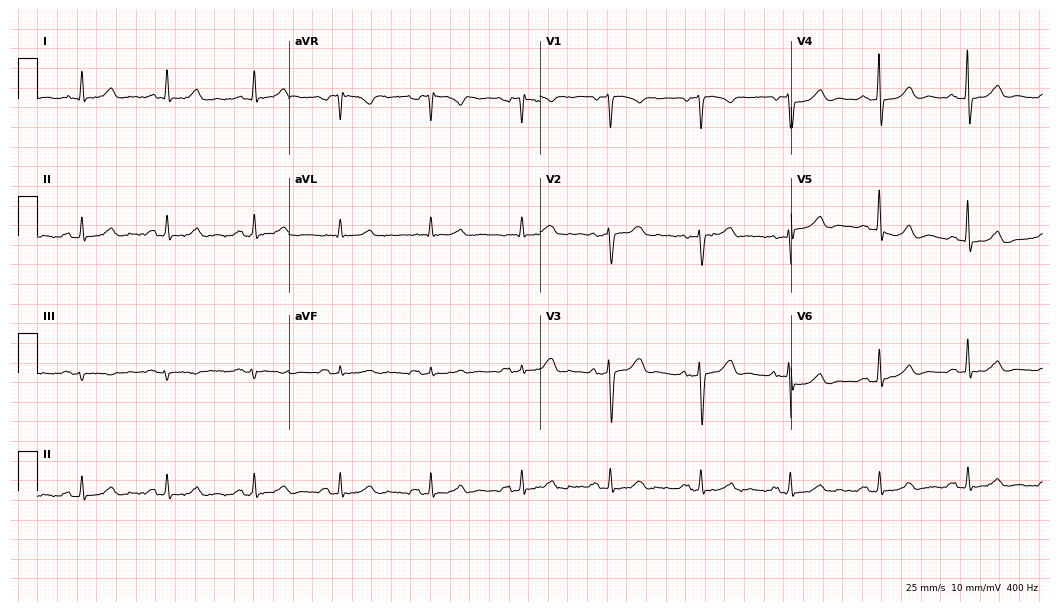
12-lead ECG from a 60-year-old man (10.2-second recording at 400 Hz). No first-degree AV block, right bundle branch block, left bundle branch block, sinus bradycardia, atrial fibrillation or sinus tachycardia recorded for this tracing.